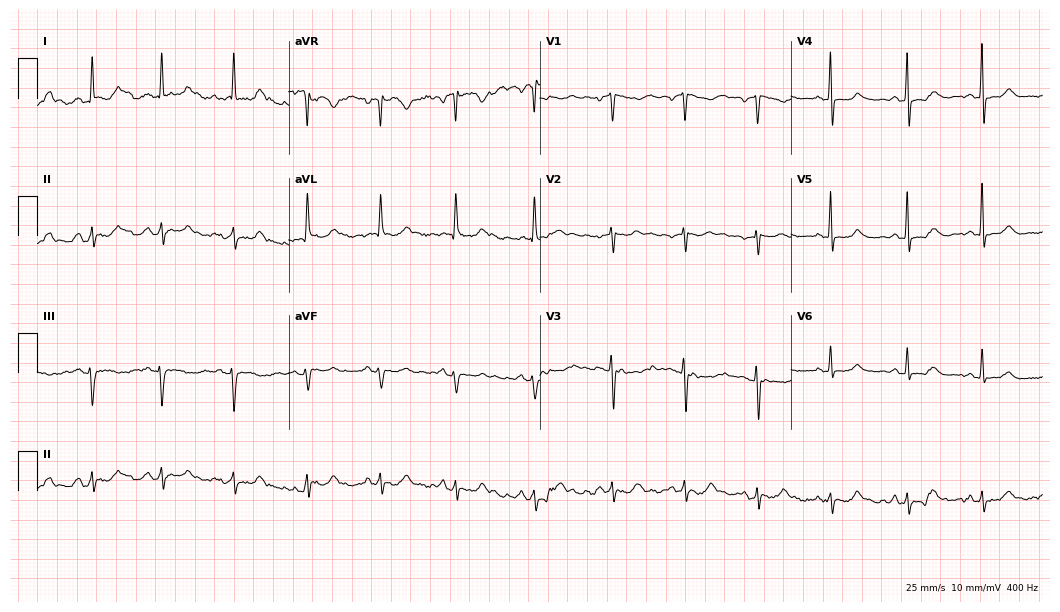
Resting 12-lead electrocardiogram (10.2-second recording at 400 Hz). Patient: a 59-year-old female. Read as a normal ECG.